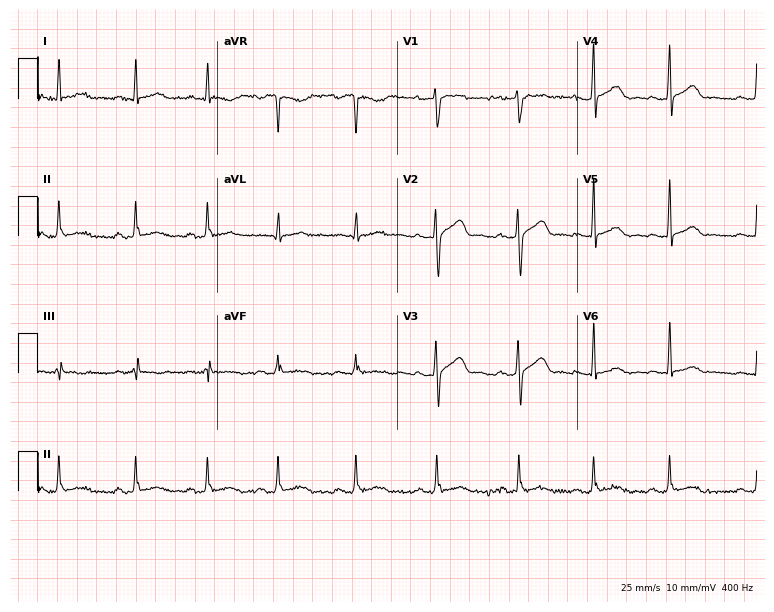
Resting 12-lead electrocardiogram (7.3-second recording at 400 Hz). Patient: a 23-year-old woman. Read as a normal ECG.